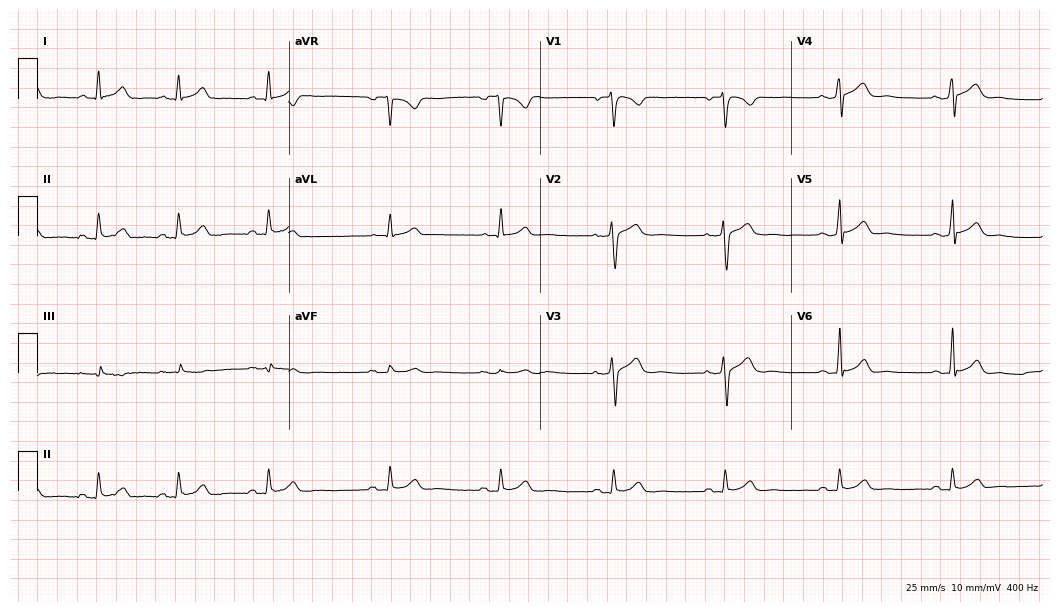
Electrocardiogram, a man, 29 years old. Overall reading on record: normal ECG.